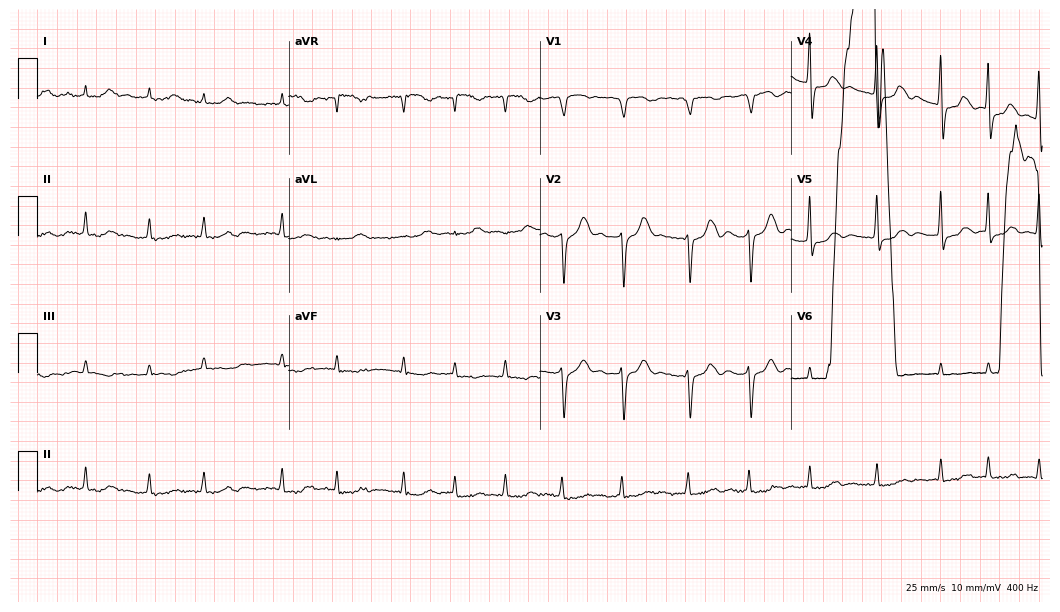
12-lead ECG from a female patient, 85 years old. Shows atrial fibrillation.